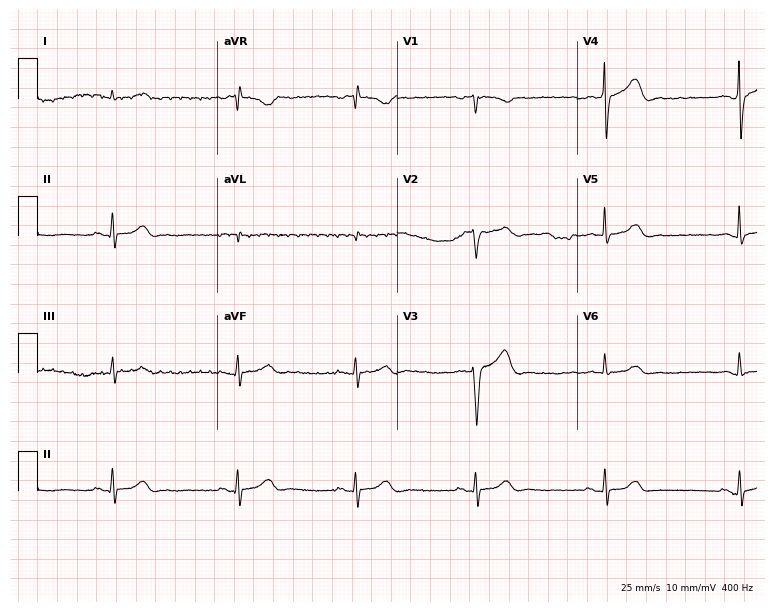
12-lead ECG from a man, 69 years old (7.3-second recording at 400 Hz). No first-degree AV block, right bundle branch block (RBBB), left bundle branch block (LBBB), sinus bradycardia, atrial fibrillation (AF) or sinus tachycardia recorded for this tracing.